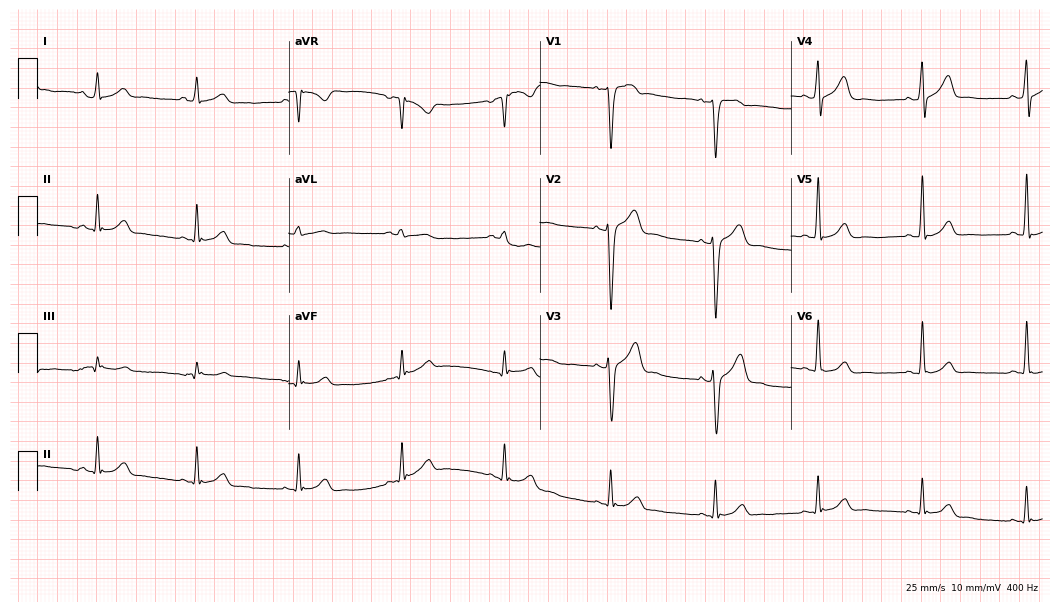
12-lead ECG from a 27-year-old man. Labelled as a normal ECG.